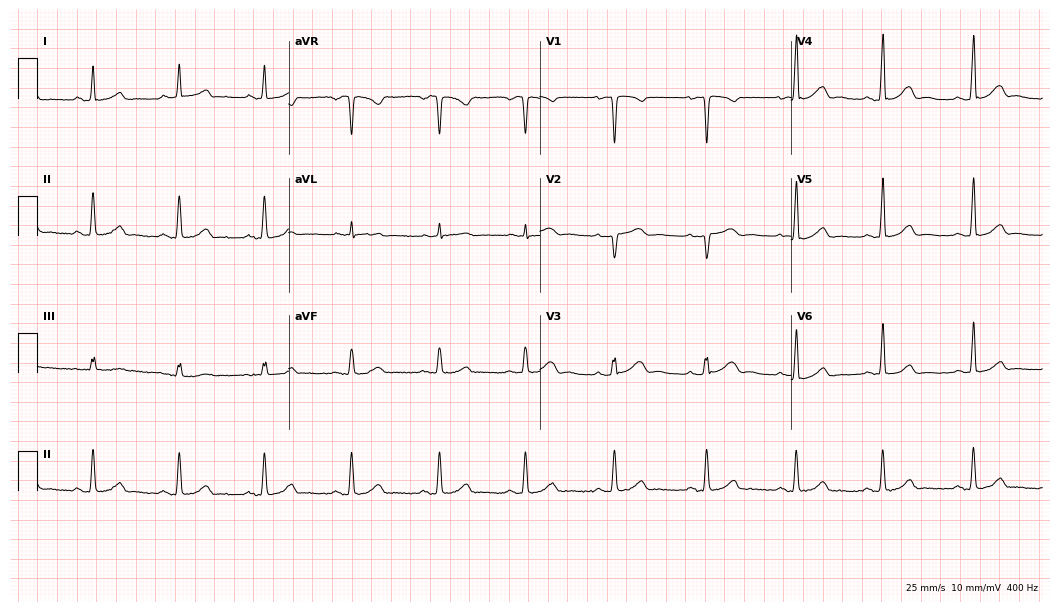
12-lead ECG from a 41-year-old female. Labelled as a normal ECG.